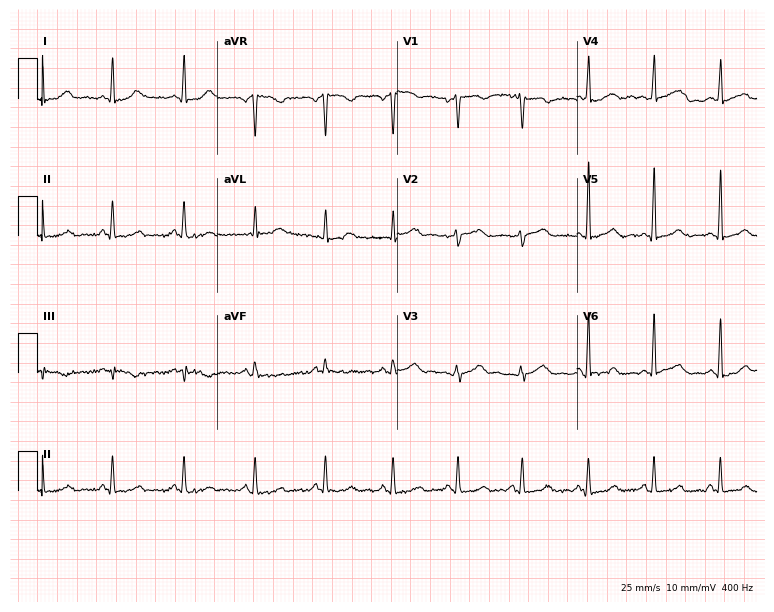
Electrocardiogram (7.3-second recording at 400 Hz), a 46-year-old woman. Overall reading on record: normal ECG.